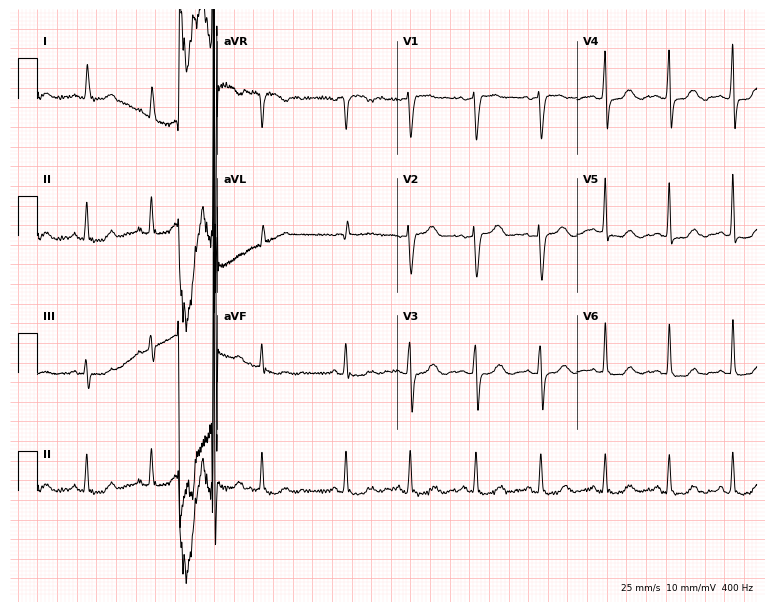
12-lead ECG from a 58-year-old female. Recorded interpretation: within normal limits.